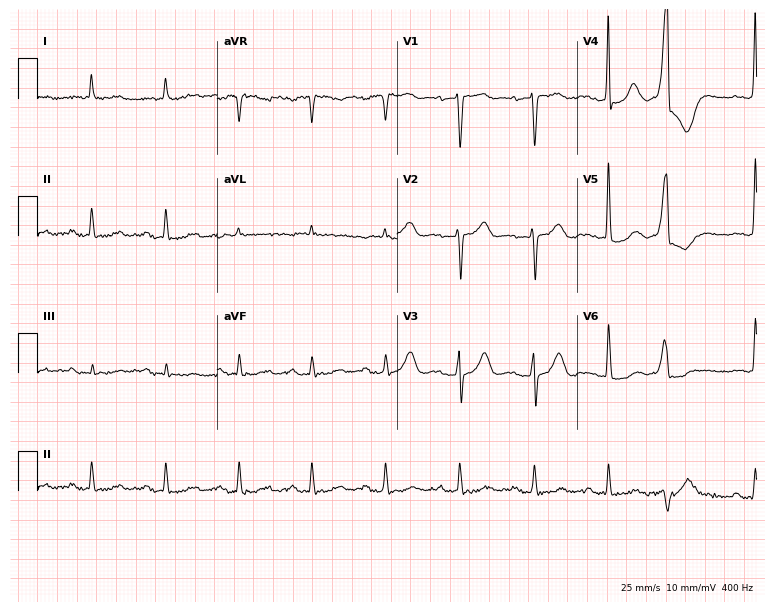
ECG (7.3-second recording at 400 Hz) — a man, 70 years old. Screened for six findings — first-degree AV block, right bundle branch block (RBBB), left bundle branch block (LBBB), sinus bradycardia, atrial fibrillation (AF), sinus tachycardia — none is recorded. Findings outside these six are not listed.